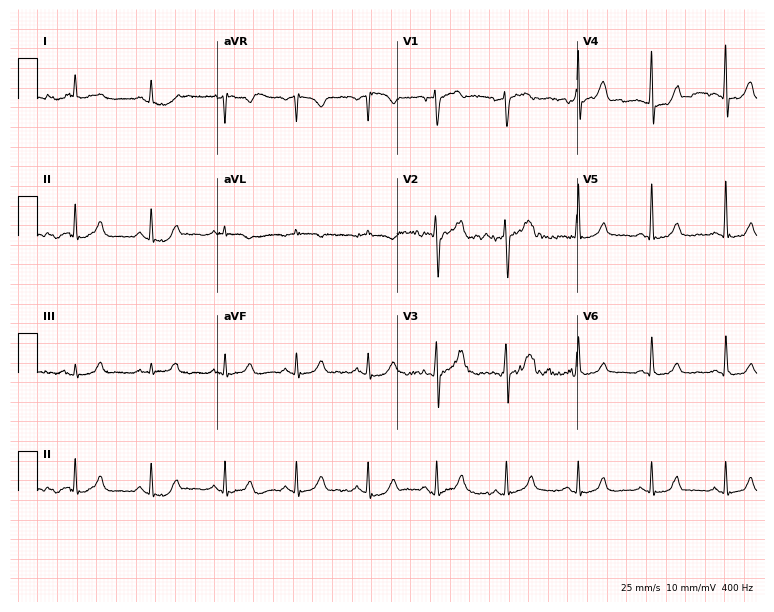
ECG (7.3-second recording at 400 Hz) — a 60-year-old male. Labelled as a normal ECG.